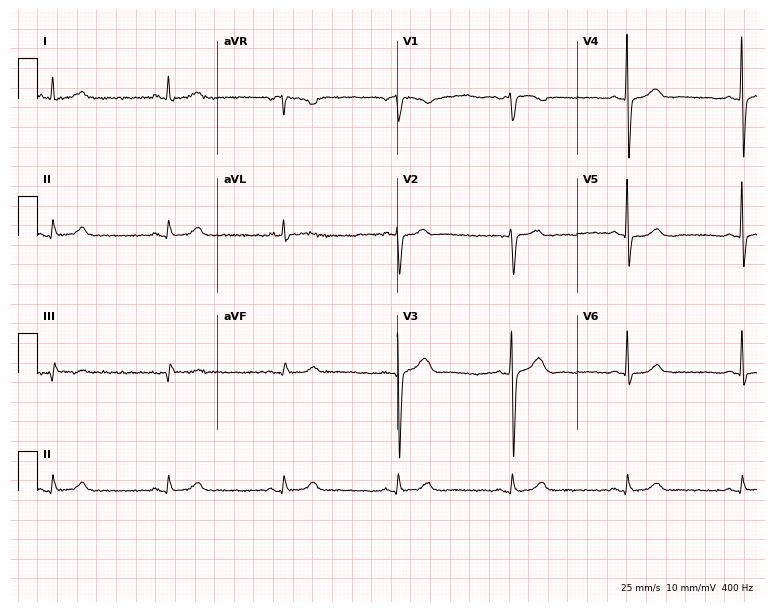
ECG (7.3-second recording at 400 Hz) — a male, 64 years old. Labelled as a normal ECG.